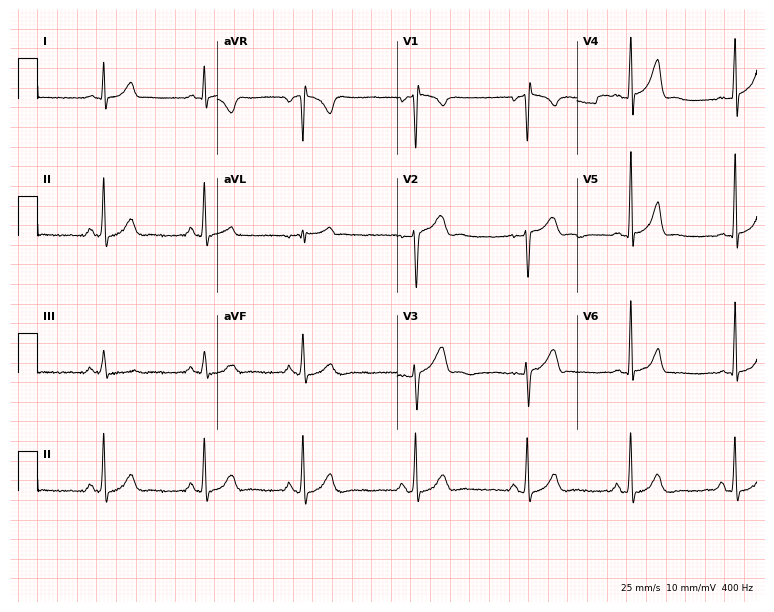
Resting 12-lead electrocardiogram. Patient: a 29-year-old male. None of these six findings is recorded: first-degree AV block, right bundle branch block, left bundle branch block, sinus bradycardia, atrial fibrillation, sinus tachycardia.